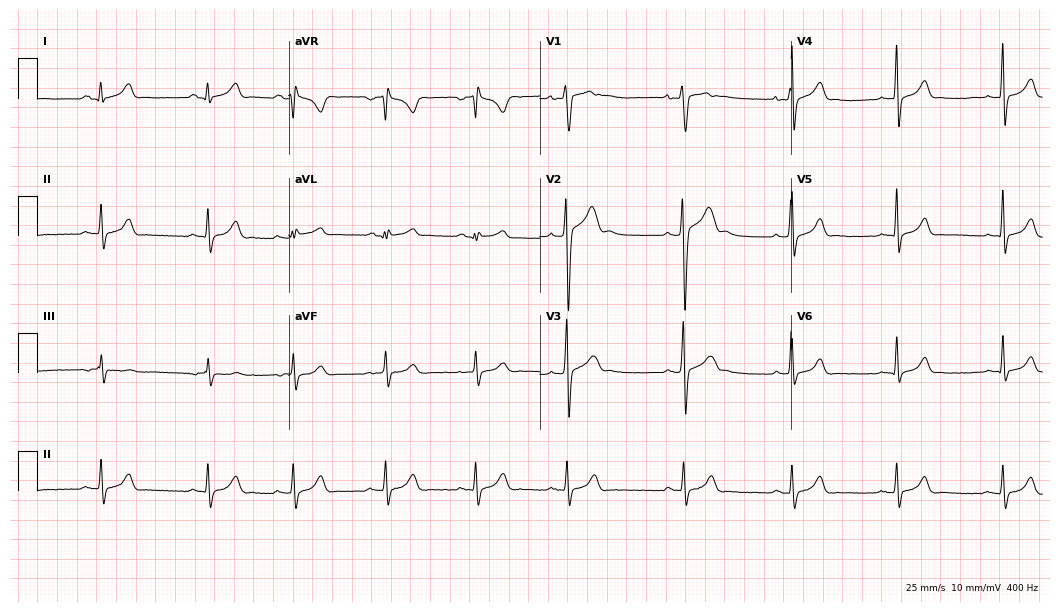
Resting 12-lead electrocardiogram. Patient: a 17-year-old male. Read as a normal ECG.